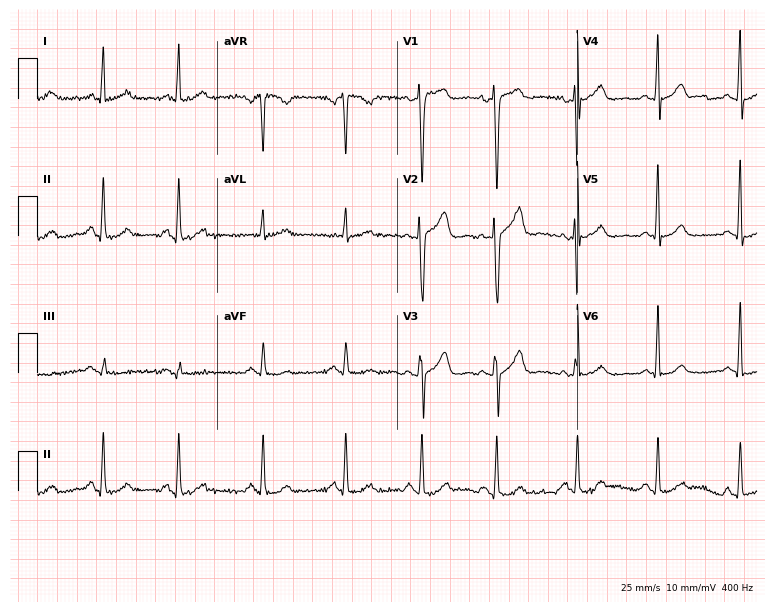
Resting 12-lead electrocardiogram (7.3-second recording at 400 Hz). Patient: a 33-year-old woman. None of these six findings is recorded: first-degree AV block, right bundle branch block, left bundle branch block, sinus bradycardia, atrial fibrillation, sinus tachycardia. Findings outside these six are not listed.